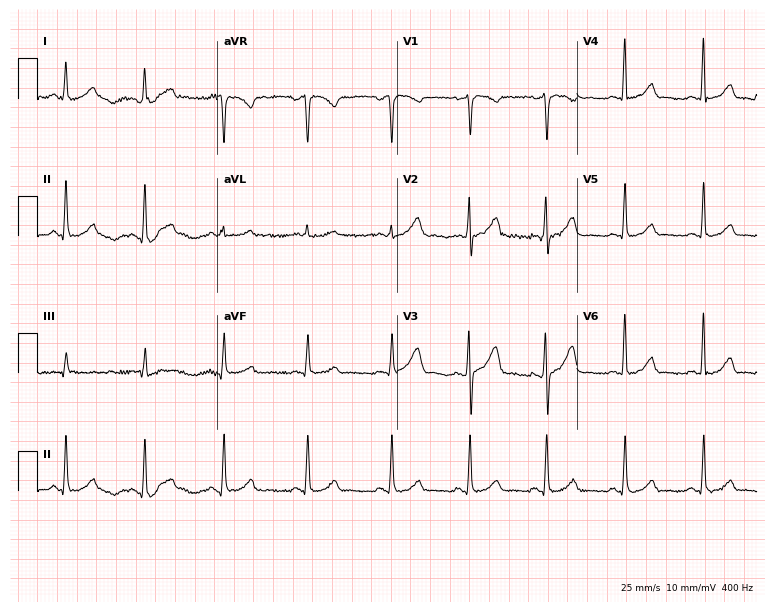
Electrocardiogram, a woman, 38 years old. Overall reading on record: normal ECG.